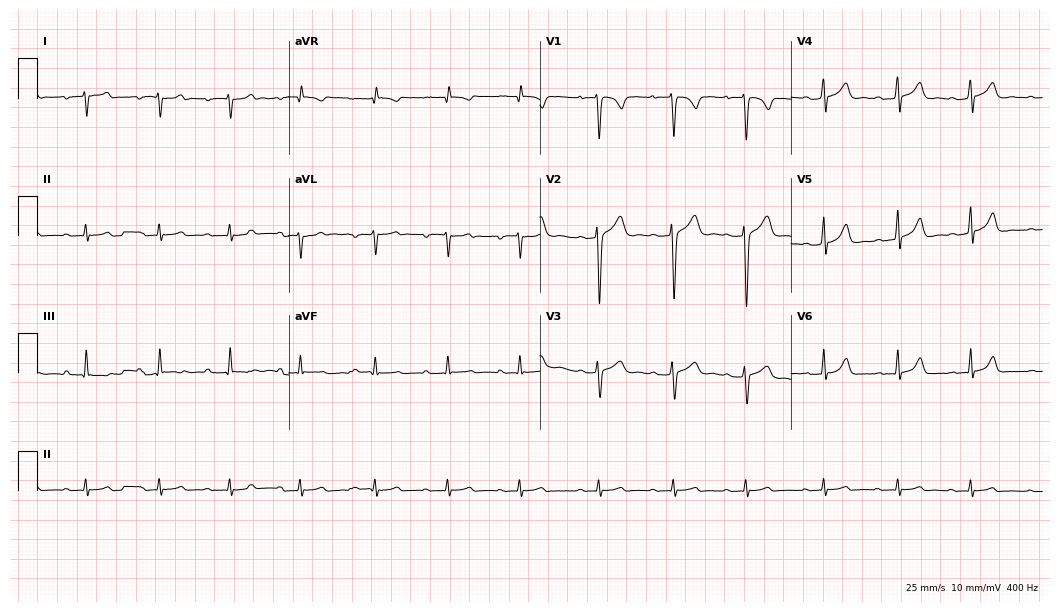
Resting 12-lead electrocardiogram (10.2-second recording at 400 Hz). Patient: a 17-year-old woman. None of these six findings is recorded: first-degree AV block, right bundle branch block, left bundle branch block, sinus bradycardia, atrial fibrillation, sinus tachycardia. Other findings, if any, are not listed.